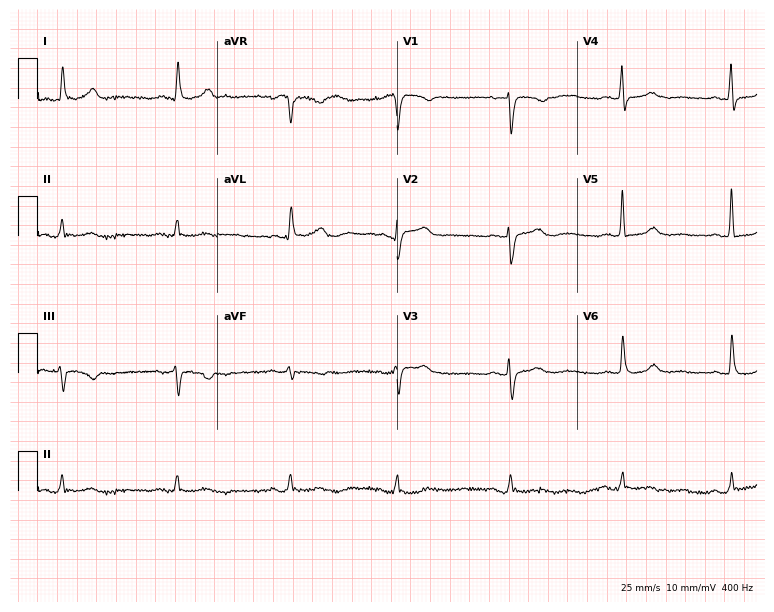
Electrocardiogram (7.3-second recording at 400 Hz), a female patient, 68 years old. Of the six screened findings (first-degree AV block, right bundle branch block (RBBB), left bundle branch block (LBBB), sinus bradycardia, atrial fibrillation (AF), sinus tachycardia), none is recorded.